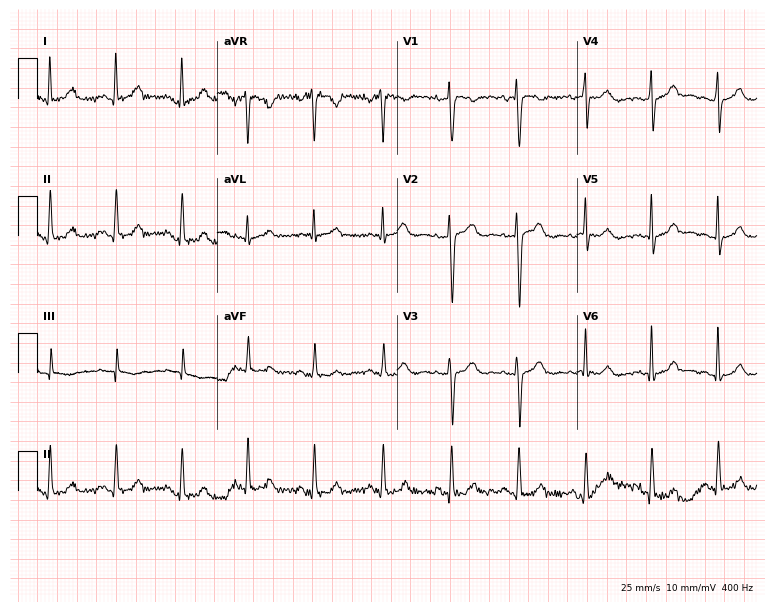
ECG (7.3-second recording at 400 Hz) — a 35-year-old woman. Screened for six findings — first-degree AV block, right bundle branch block, left bundle branch block, sinus bradycardia, atrial fibrillation, sinus tachycardia — none is recorded. Findings outside these six are not listed.